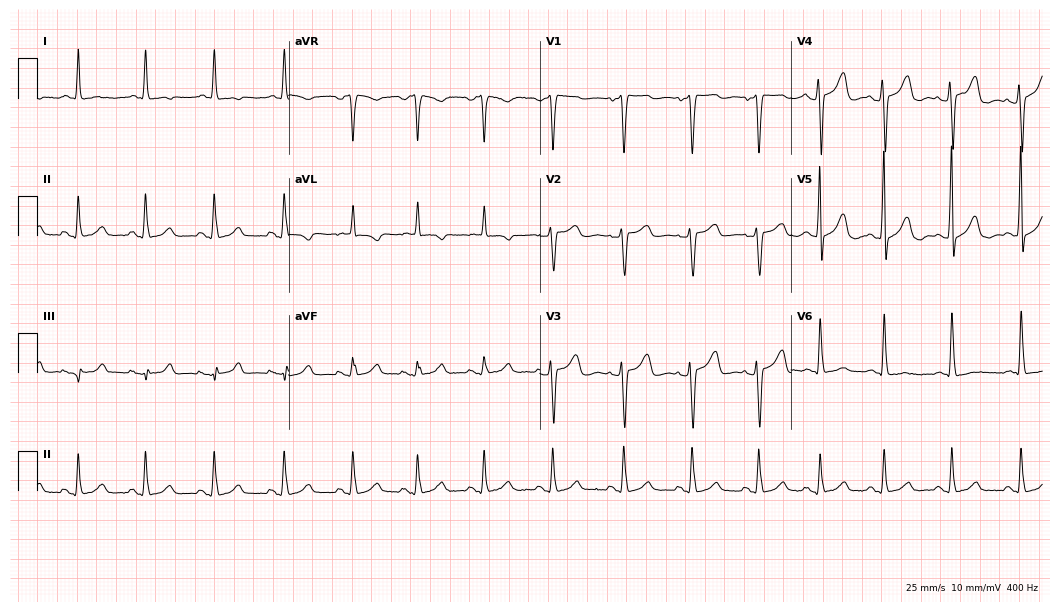
12-lead ECG from a 55-year-old woman. No first-degree AV block, right bundle branch block, left bundle branch block, sinus bradycardia, atrial fibrillation or sinus tachycardia recorded for this tracing.